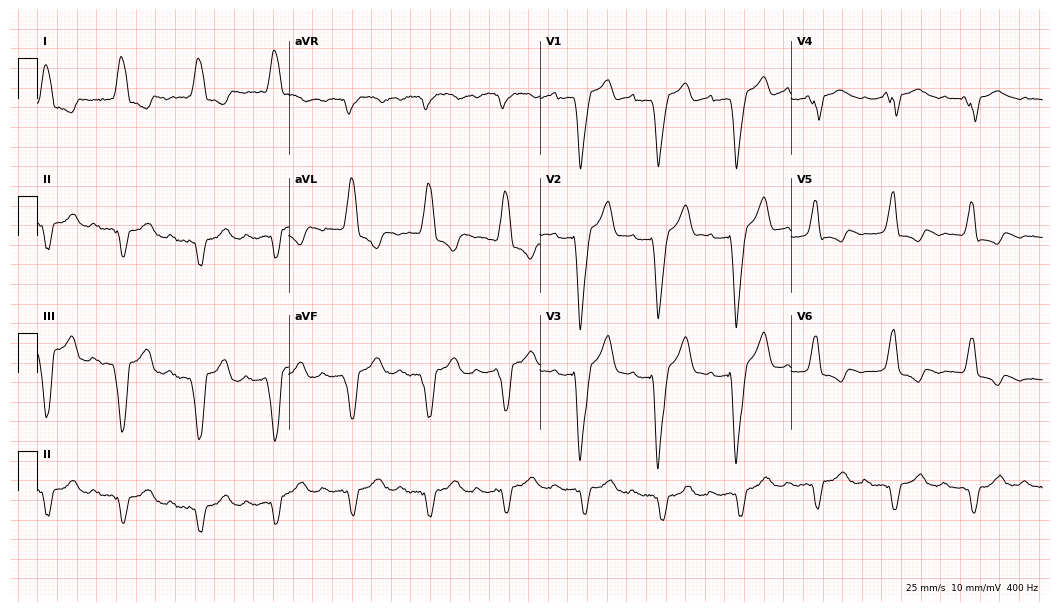
Electrocardiogram (10.2-second recording at 400 Hz), an 80-year-old woman. Interpretation includes first-degree AV block, left bundle branch block.